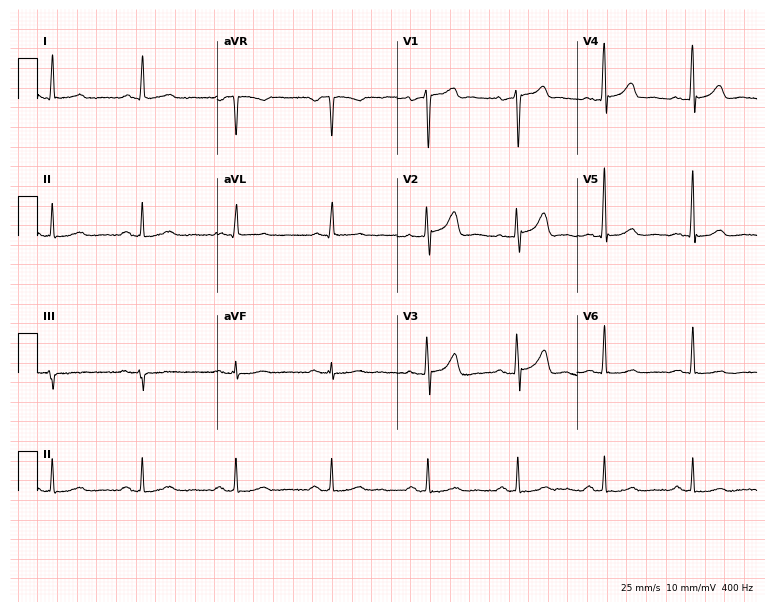
12-lead ECG from a man, 51 years old. Labelled as a normal ECG.